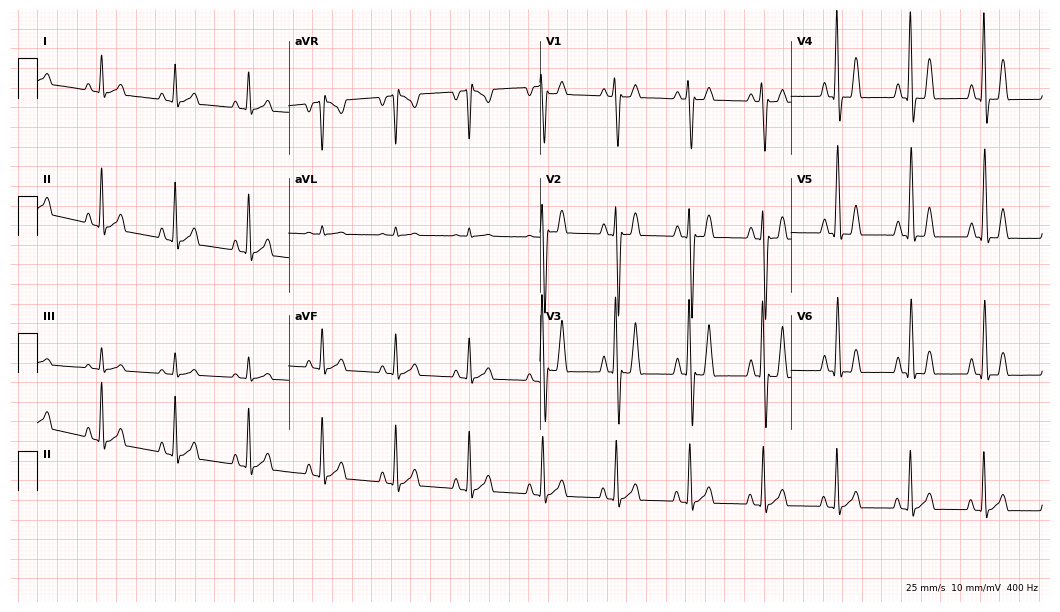
12-lead ECG (10.2-second recording at 400 Hz) from a 33-year-old male. Screened for six findings — first-degree AV block, right bundle branch block, left bundle branch block, sinus bradycardia, atrial fibrillation, sinus tachycardia — none is recorded. Findings outside these six are not listed.